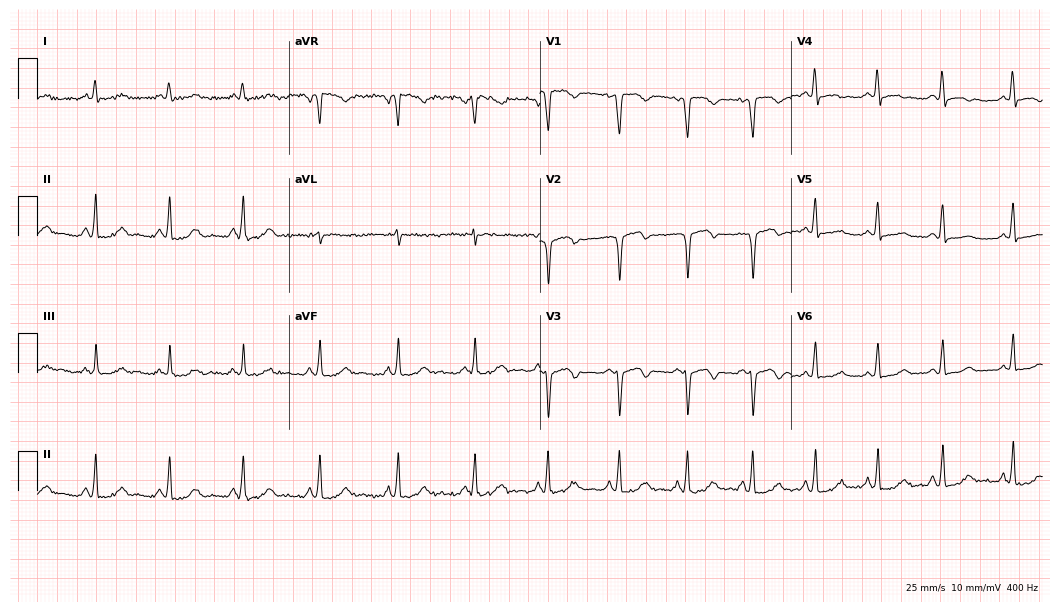
Resting 12-lead electrocardiogram. Patient: a 38-year-old female. None of these six findings is recorded: first-degree AV block, right bundle branch block, left bundle branch block, sinus bradycardia, atrial fibrillation, sinus tachycardia. Only these six findings were labelled.